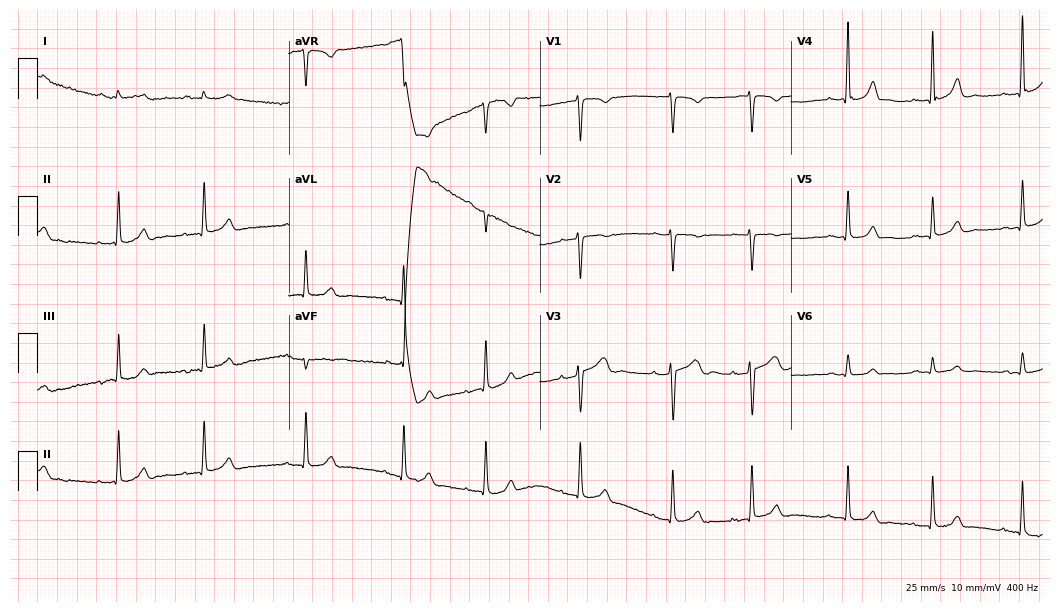
Standard 12-lead ECG recorded from a 17-year-old woman. Read as a normal ECG.